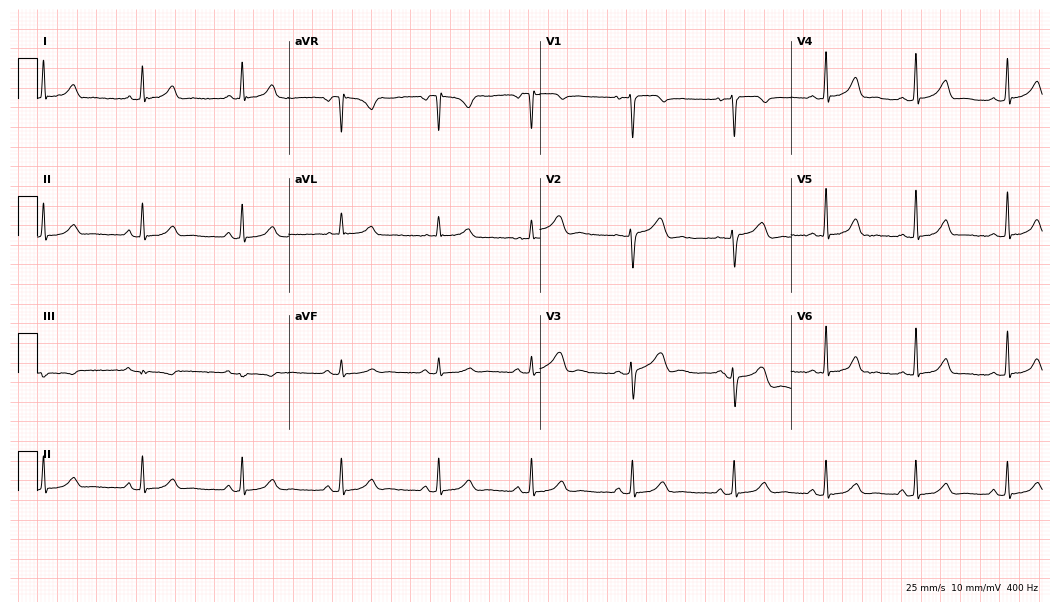
Standard 12-lead ECG recorded from a 33-year-old female patient. Read as a normal ECG.